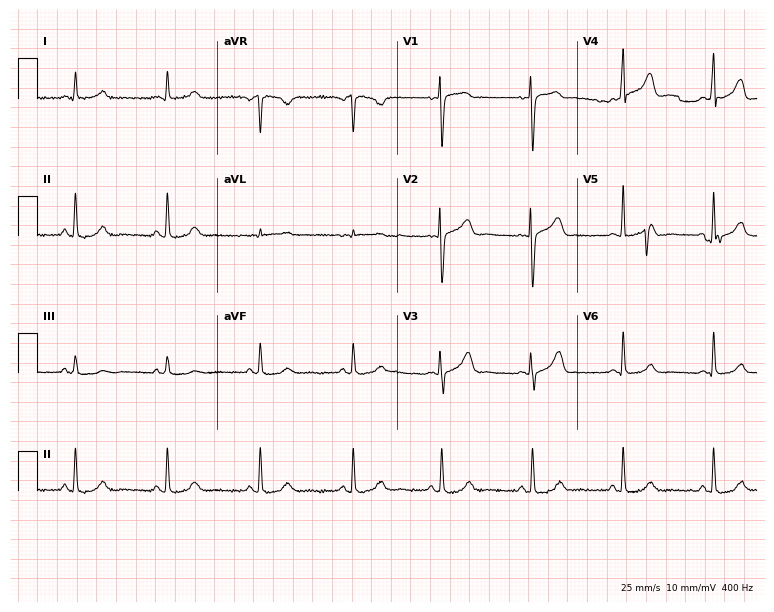
12-lead ECG from a 52-year-old female. Labelled as a normal ECG.